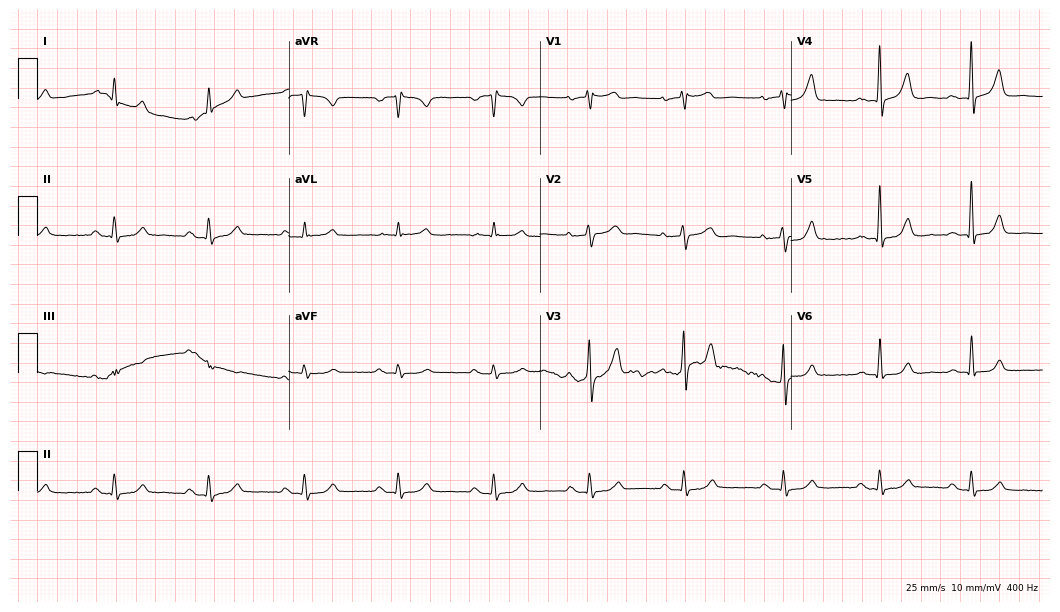
12-lead ECG (10.2-second recording at 400 Hz) from a 61-year-old male patient. Labelled as a normal ECG.